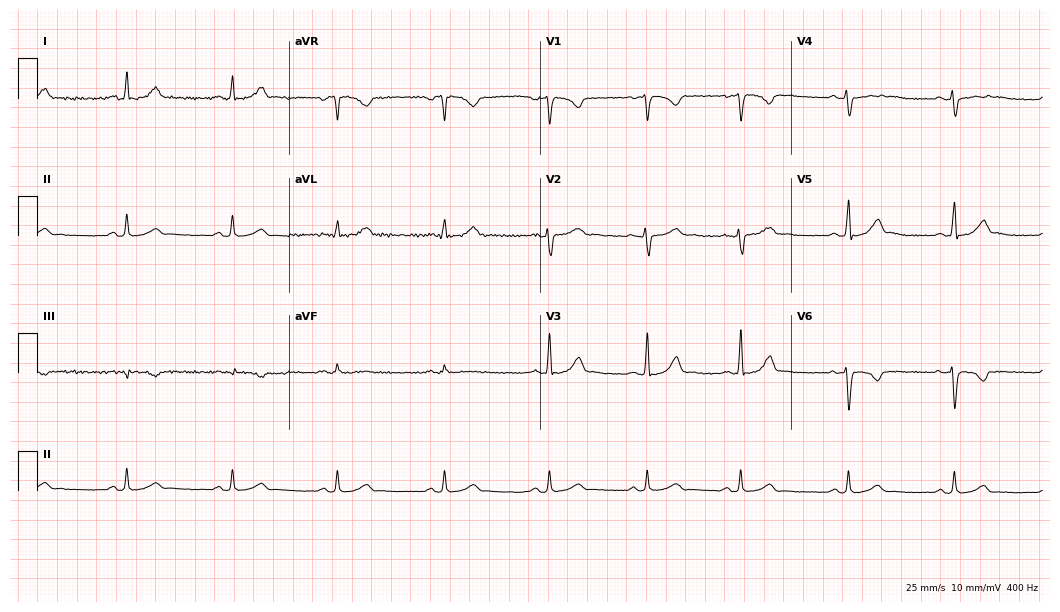
Standard 12-lead ECG recorded from a 29-year-old woman (10.2-second recording at 400 Hz). Read as a normal ECG.